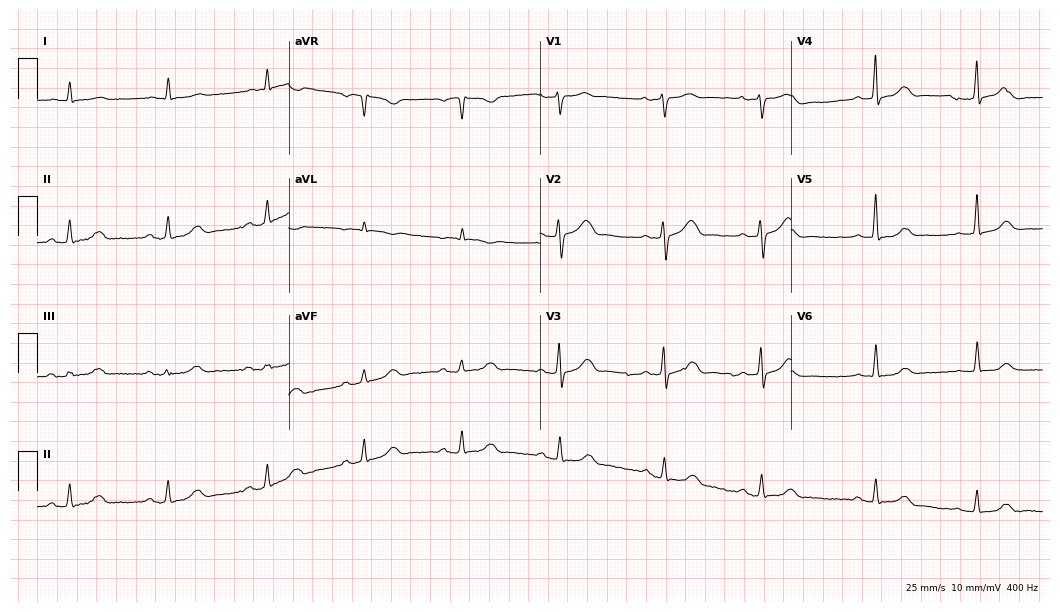
Standard 12-lead ECG recorded from a 73-year-old female patient (10.2-second recording at 400 Hz). Read as a normal ECG.